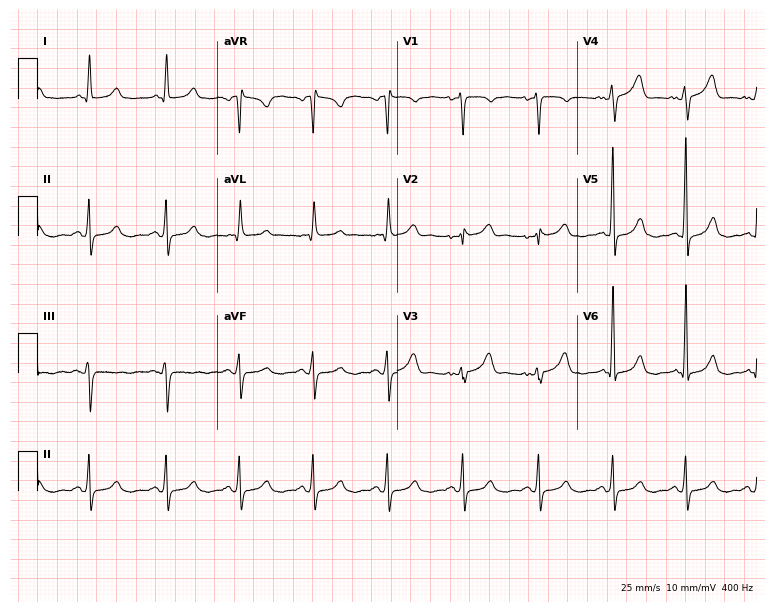
12-lead ECG (7.3-second recording at 400 Hz) from a woman, 56 years old. Screened for six findings — first-degree AV block, right bundle branch block, left bundle branch block, sinus bradycardia, atrial fibrillation, sinus tachycardia — none is recorded. Only these six findings were labelled.